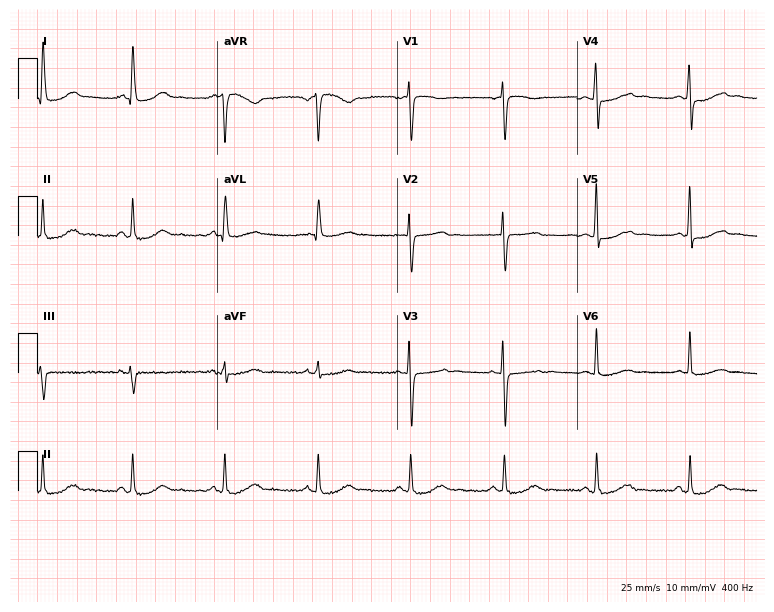
12-lead ECG from a woman, 70 years old. Screened for six findings — first-degree AV block, right bundle branch block, left bundle branch block, sinus bradycardia, atrial fibrillation, sinus tachycardia — none is recorded.